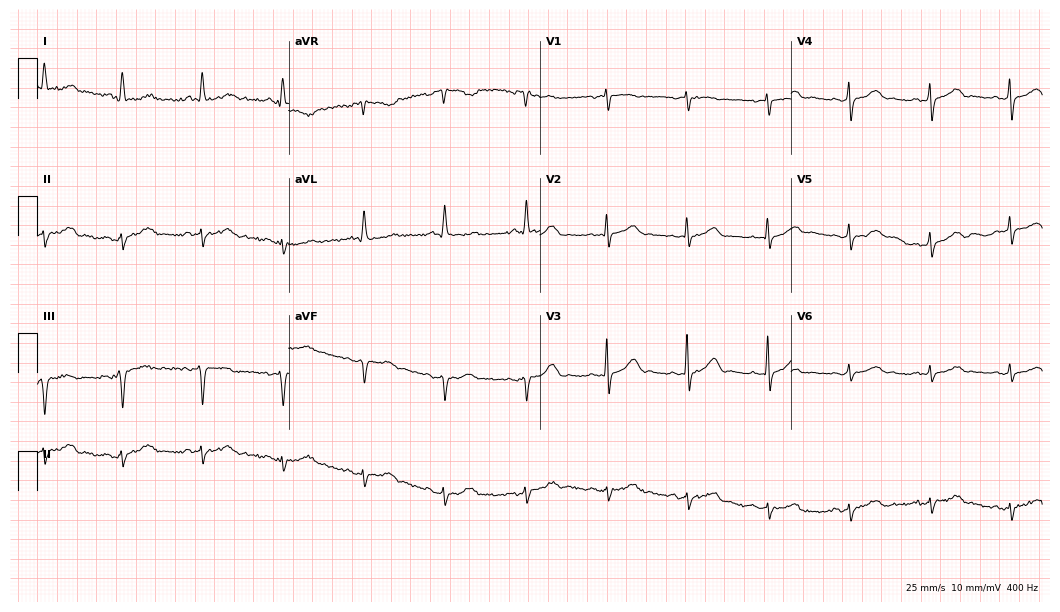
ECG — a 73-year-old woman. Screened for six findings — first-degree AV block, right bundle branch block, left bundle branch block, sinus bradycardia, atrial fibrillation, sinus tachycardia — none is recorded.